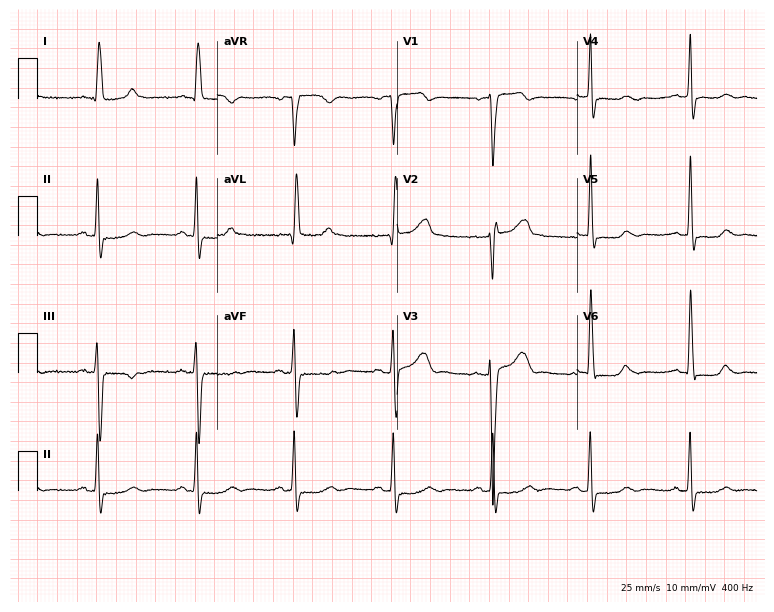
Standard 12-lead ECG recorded from a woman, 85 years old (7.3-second recording at 400 Hz). None of these six findings is recorded: first-degree AV block, right bundle branch block, left bundle branch block, sinus bradycardia, atrial fibrillation, sinus tachycardia.